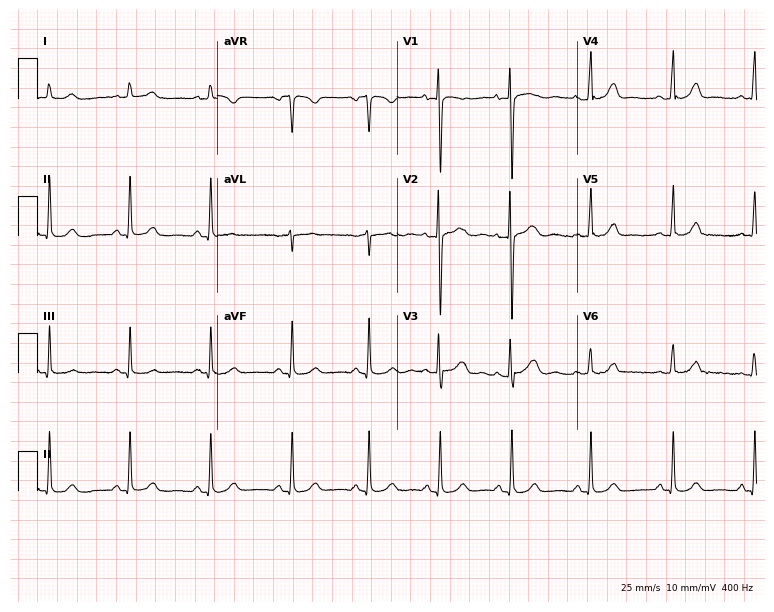
Standard 12-lead ECG recorded from a female patient, 29 years old (7.3-second recording at 400 Hz). Read as a normal ECG.